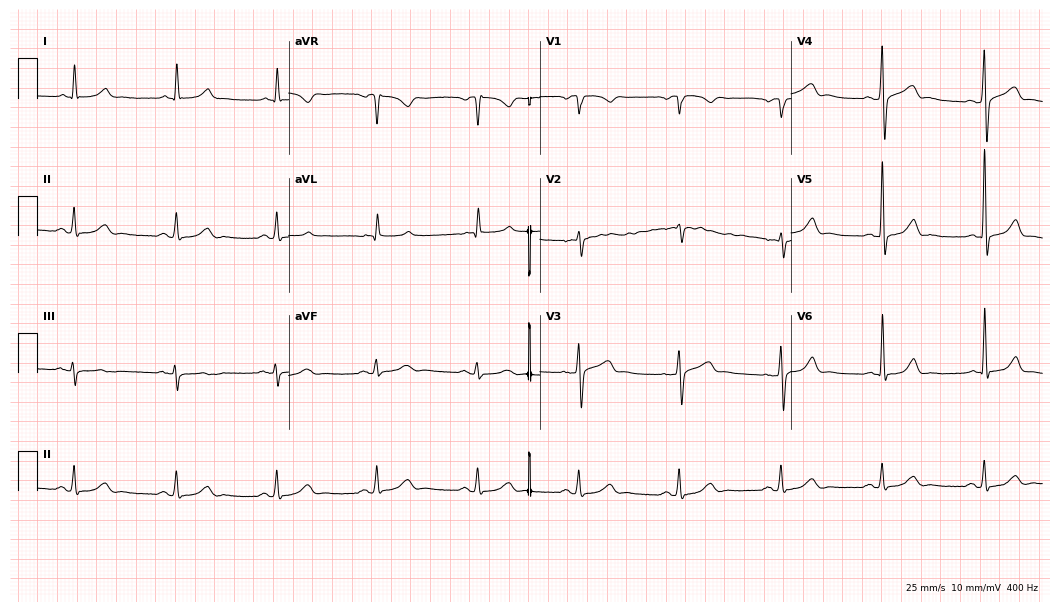
Standard 12-lead ECG recorded from a 71-year-old man. Read as a normal ECG.